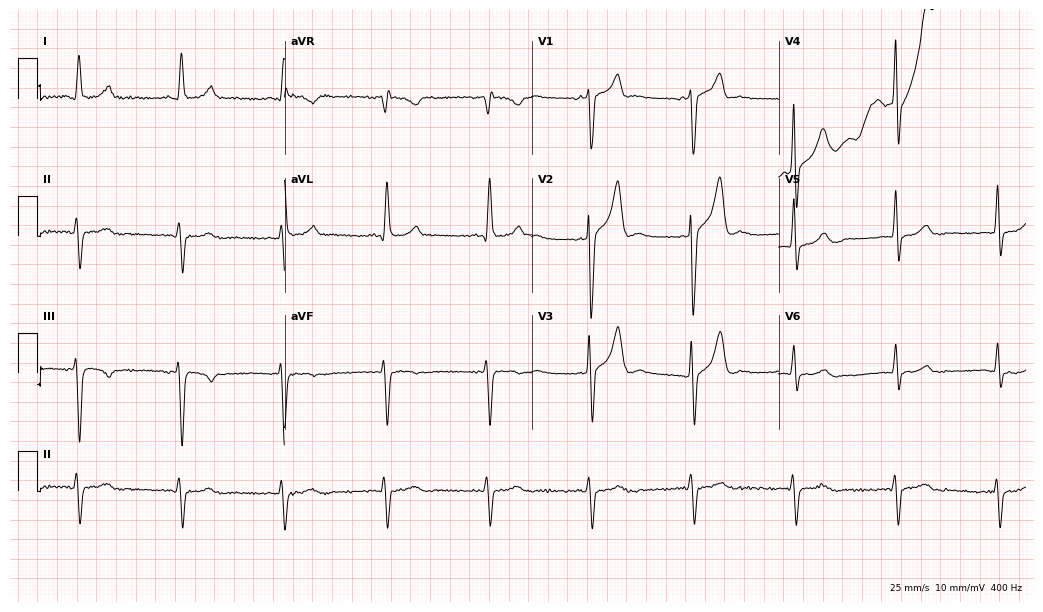
12-lead ECG from a 68-year-old male patient. Findings include atrial fibrillation.